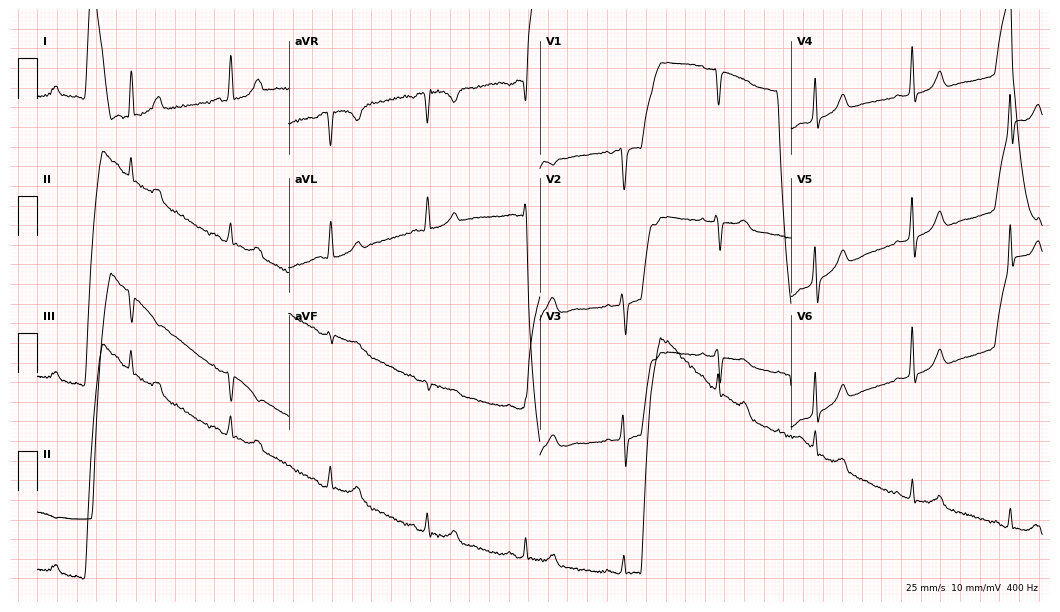
12-lead ECG from a 54-year-old female patient. No first-degree AV block, right bundle branch block, left bundle branch block, sinus bradycardia, atrial fibrillation or sinus tachycardia recorded for this tracing. Other findings, if any, are not listed.